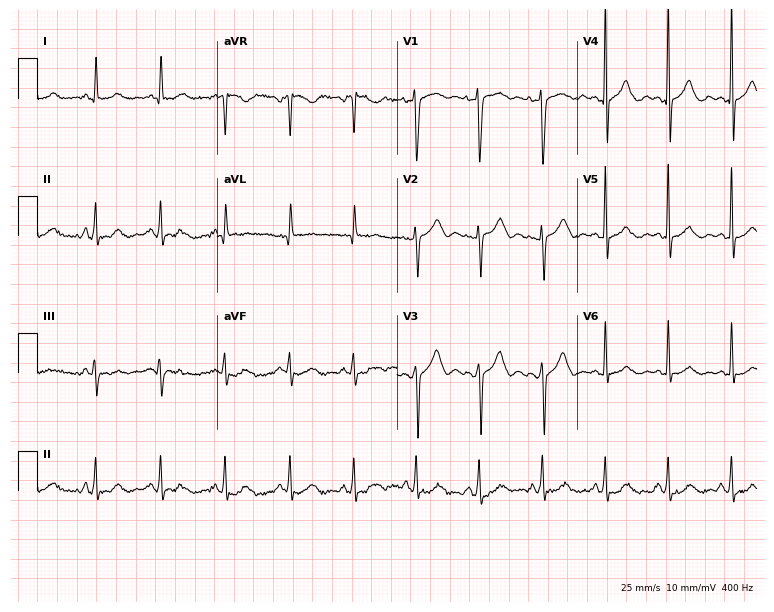
Resting 12-lead electrocardiogram. Patient: a 46-year-old female. Read as a normal ECG.